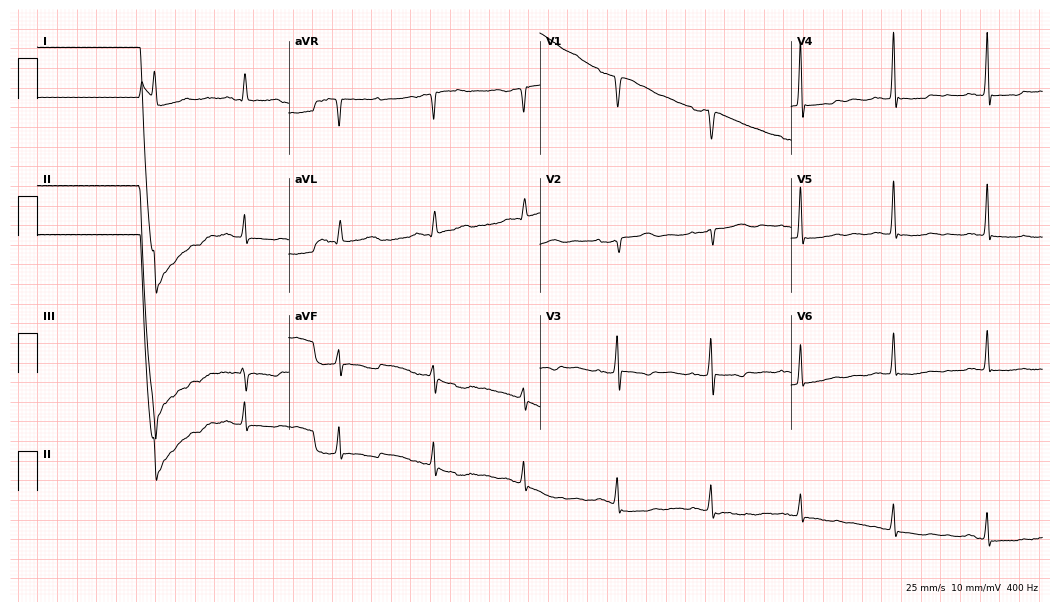
Resting 12-lead electrocardiogram. Patient: a woman, 59 years old. None of these six findings is recorded: first-degree AV block, right bundle branch block, left bundle branch block, sinus bradycardia, atrial fibrillation, sinus tachycardia.